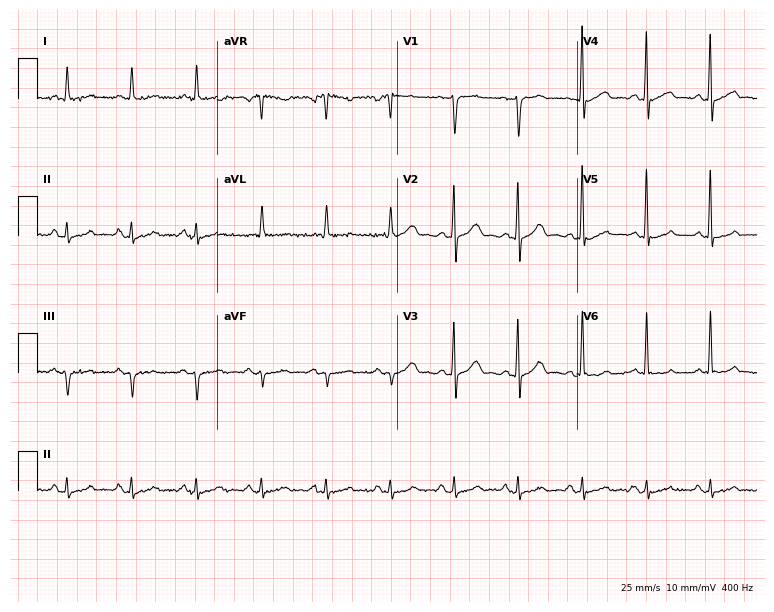
Resting 12-lead electrocardiogram. Patient: a 73-year-old male. None of these six findings is recorded: first-degree AV block, right bundle branch block (RBBB), left bundle branch block (LBBB), sinus bradycardia, atrial fibrillation (AF), sinus tachycardia.